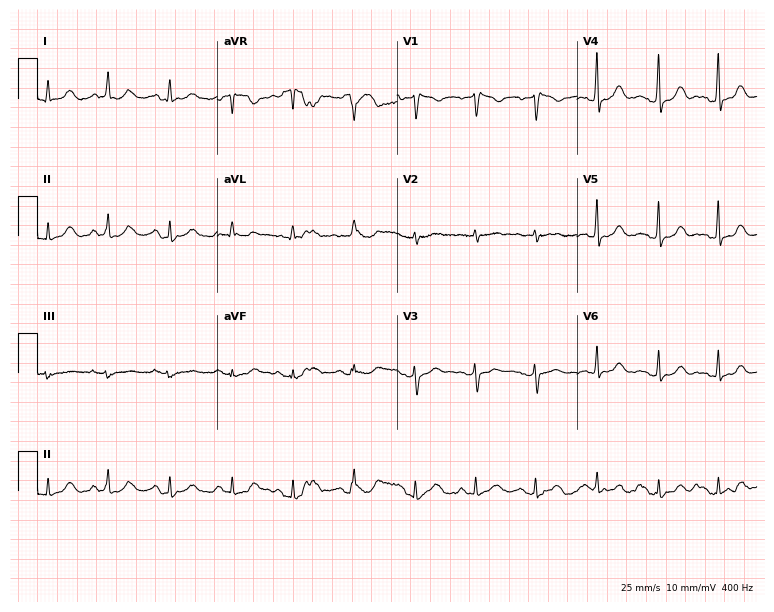
Resting 12-lead electrocardiogram. Patient: a female, 50 years old. Read as a normal ECG.